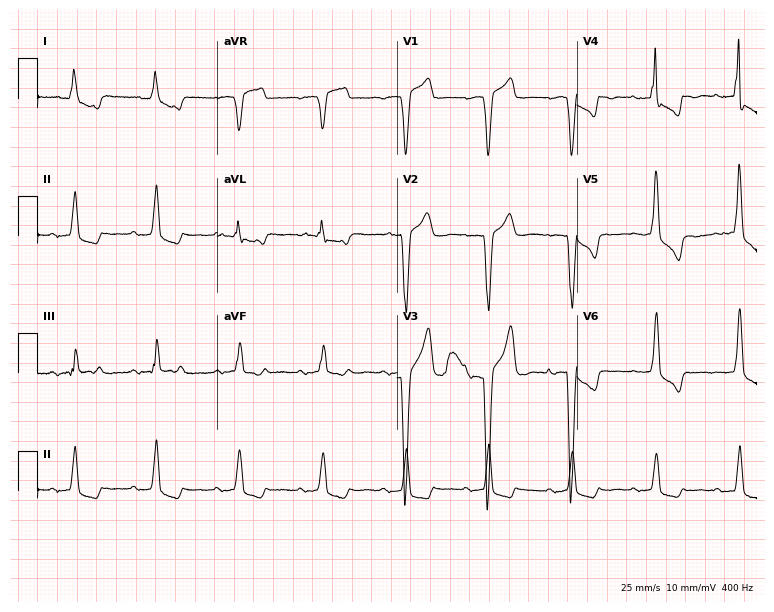
Resting 12-lead electrocardiogram. Patient: a man, 85 years old. The tracing shows left bundle branch block (LBBB).